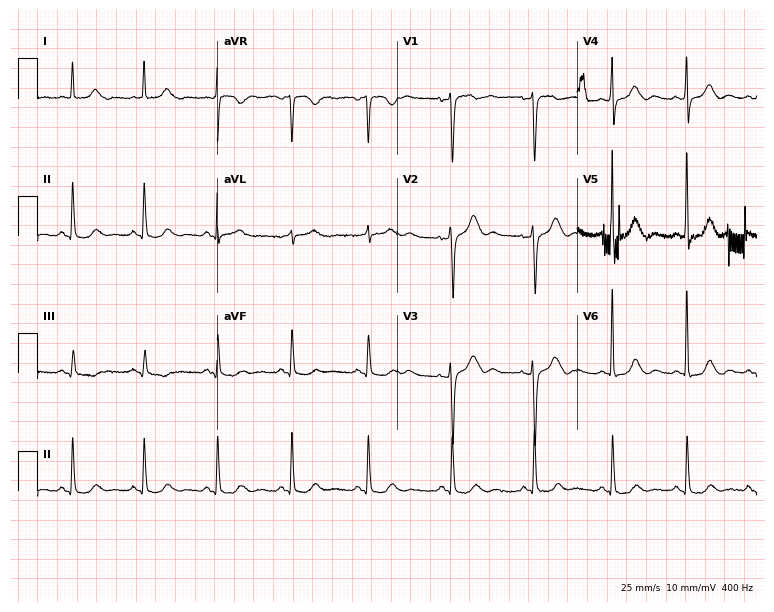
ECG — a 54-year-old female. Labelled as a normal ECG.